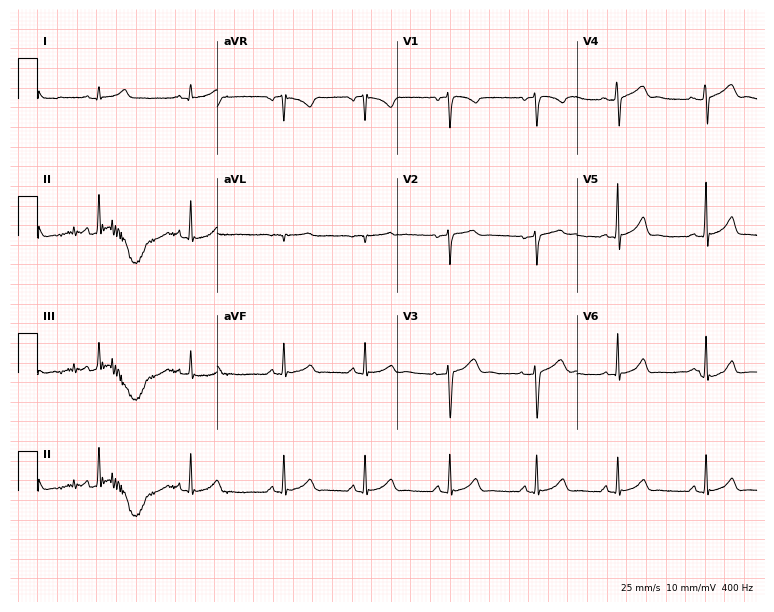
Electrocardiogram (7.3-second recording at 400 Hz), a female, 24 years old. Overall reading on record: normal ECG.